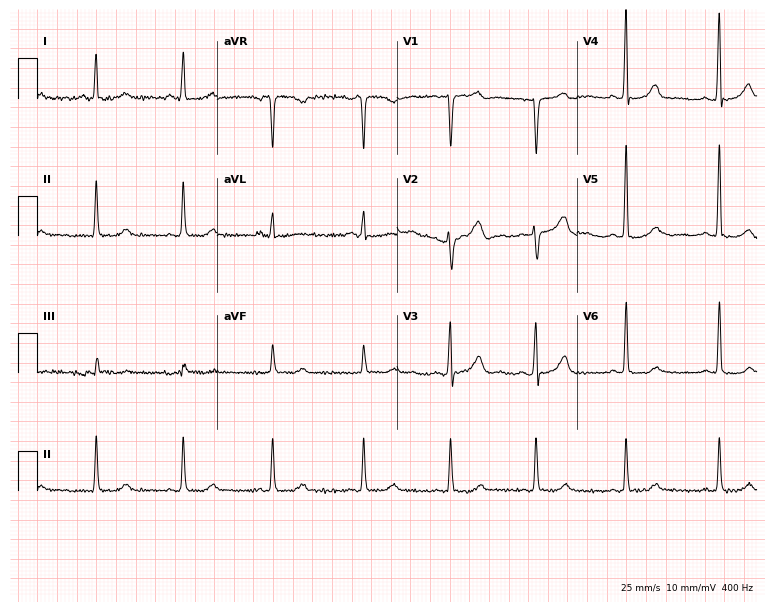
12-lead ECG (7.3-second recording at 400 Hz) from a female, 66 years old. Screened for six findings — first-degree AV block, right bundle branch block, left bundle branch block, sinus bradycardia, atrial fibrillation, sinus tachycardia — none is recorded.